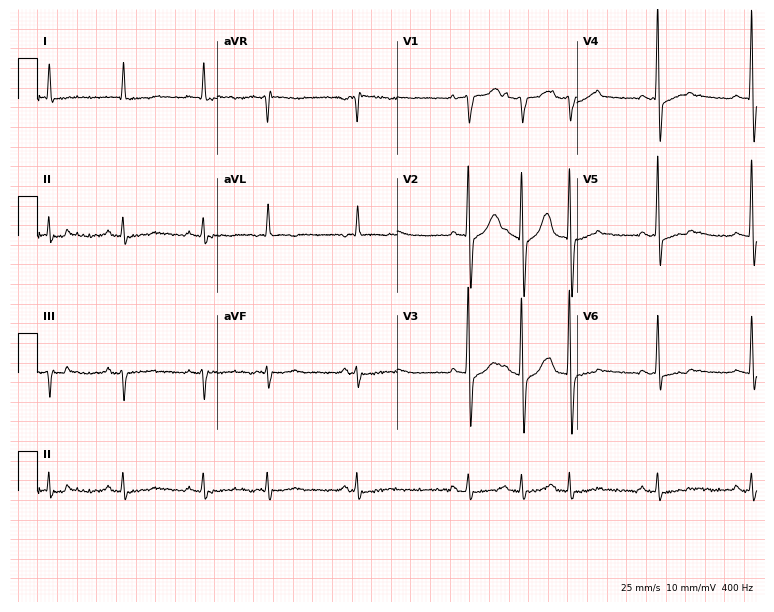
ECG (7.3-second recording at 400 Hz) — a 76-year-old male. Screened for six findings — first-degree AV block, right bundle branch block (RBBB), left bundle branch block (LBBB), sinus bradycardia, atrial fibrillation (AF), sinus tachycardia — none is recorded.